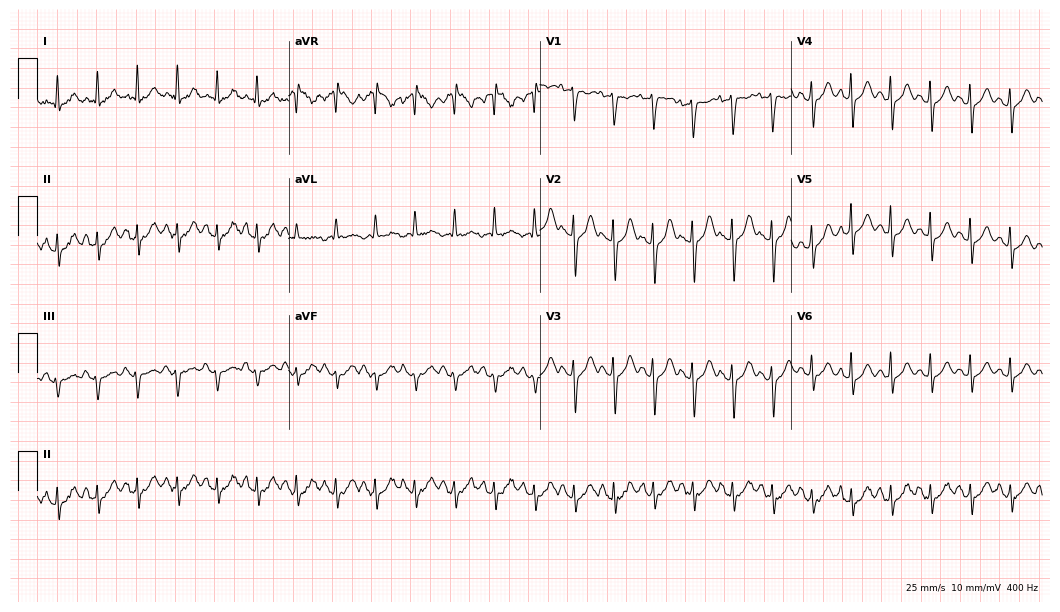
Standard 12-lead ECG recorded from a 49-year-old female (10.2-second recording at 400 Hz). The tracing shows sinus tachycardia (a sinus rate of 100 beats per minute or more).